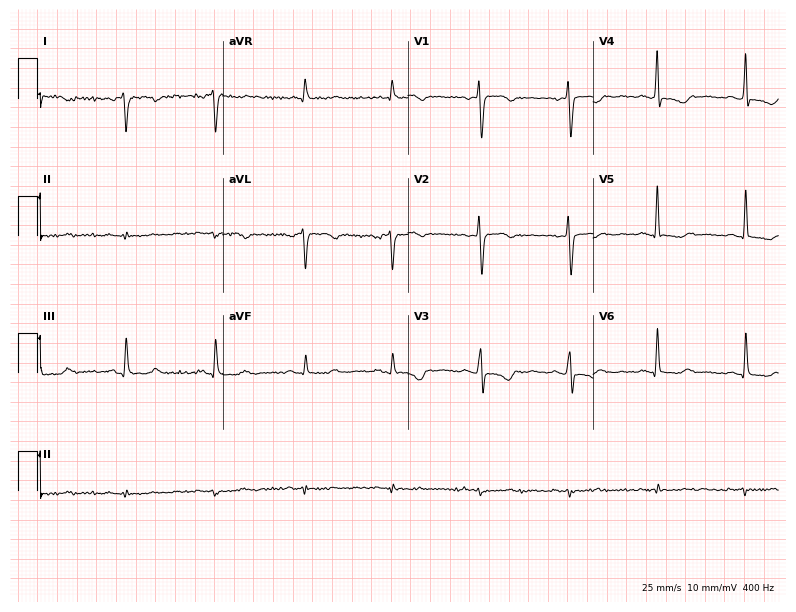
Standard 12-lead ECG recorded from a 56-year-old female (7.6-second recording at 400 Hz). None of these six findings is recorded: first-degree AV block, right bundle branch block (RBBB), left bundle branch block (LBBB), sinus bradycardia, atrial fibrillation (AF), sinus tachycardia.